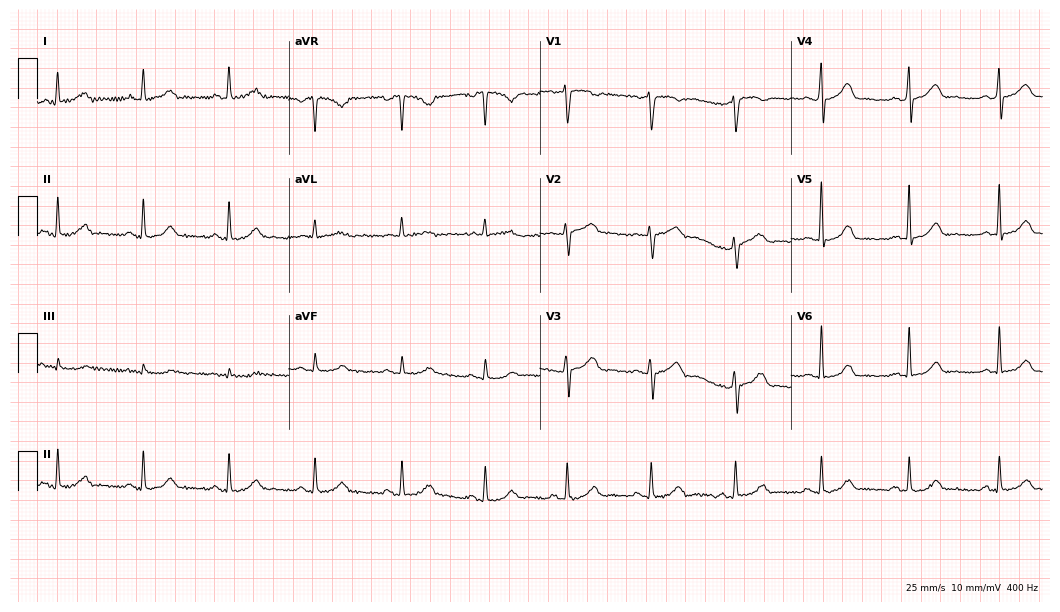
12-lead ECG (10.2-second recording at 400 Hz) from a woman, 39 years old. Labelled as a normal ECG.